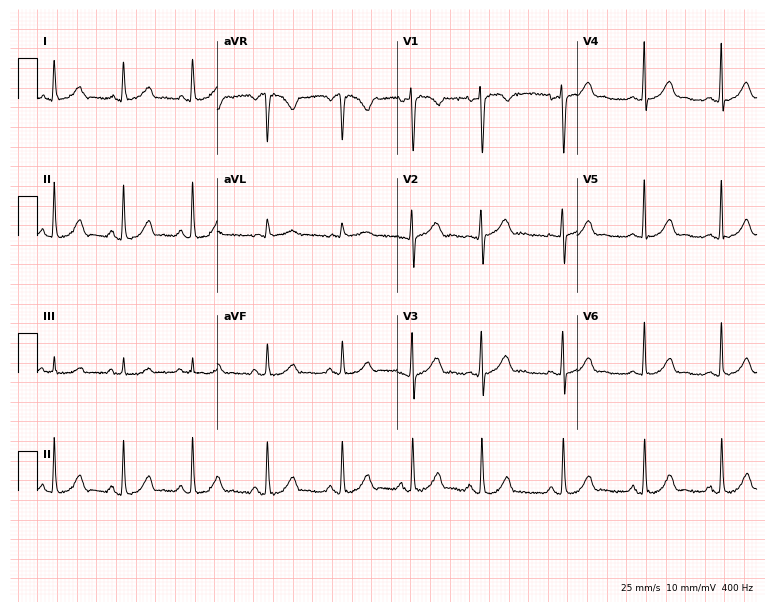
Resting 12-lead electrocardiogram. Patient: a 29-year-old female. Read as a normal ECG.